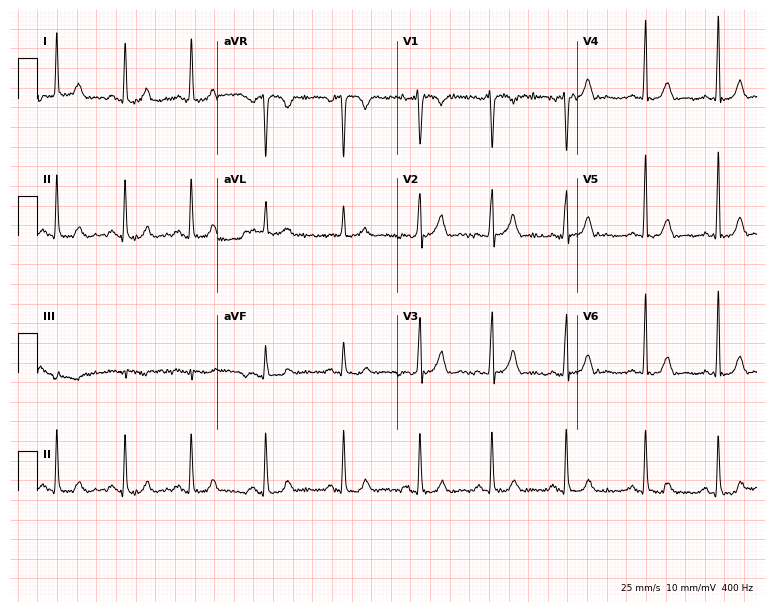
Standard 12-lead ECG recorded from a female patient, 24 years old. Read as a normal ECG.